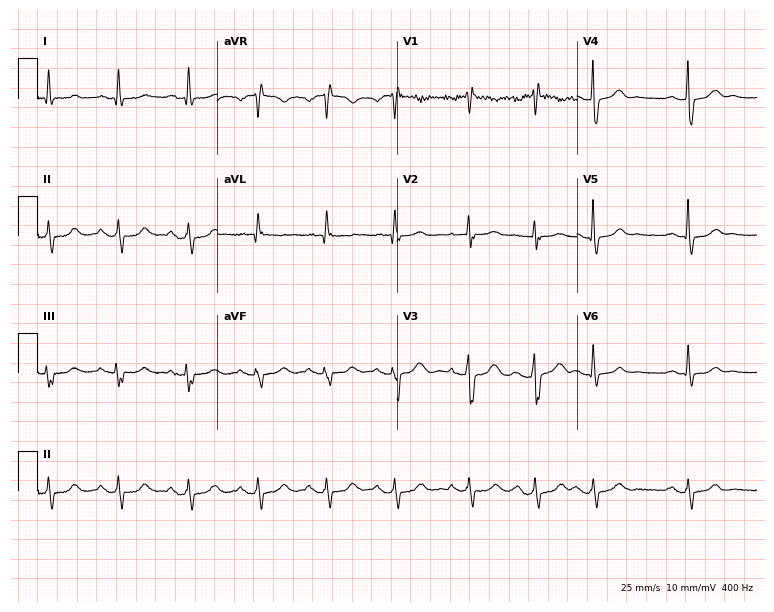
Electrocardiogram, a 72-year-old female. Of the six screened findings (first-degree AV block, right bundle branch block (RBBB), left bundle branch block (LBBB), sinus bradycardia, atrial fibrillation (AF), sinus tachycardia), none is recorded.